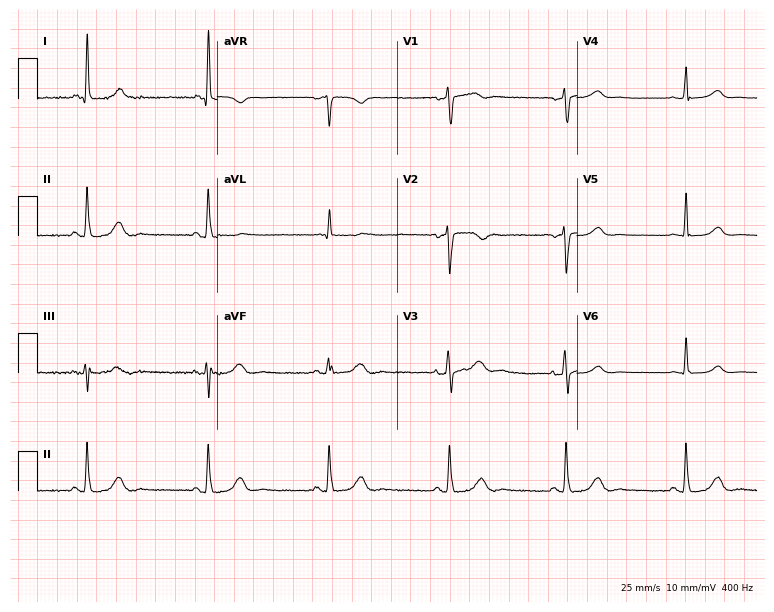
12-lead ECG from a 71-year-old female patient. Shows sinus bradycardia (a sinus rate of 50 beats per minute or less).